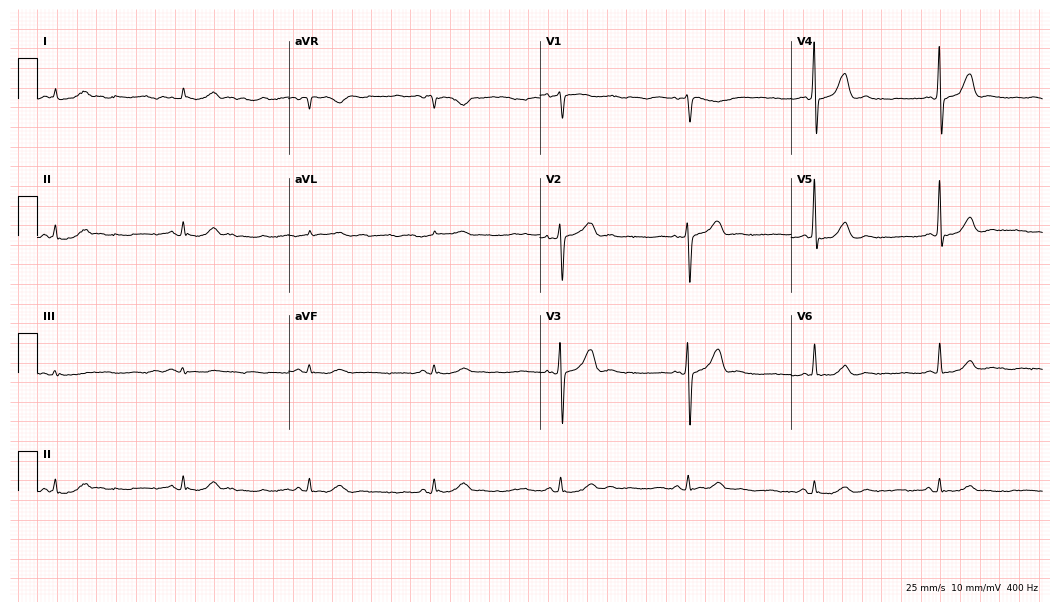
Resting 12-lead electrocardiogram. Patient: a male, 72 years old. The tracing shows sinus bradycardia (a sinus rate of 50 beats per minute or less).